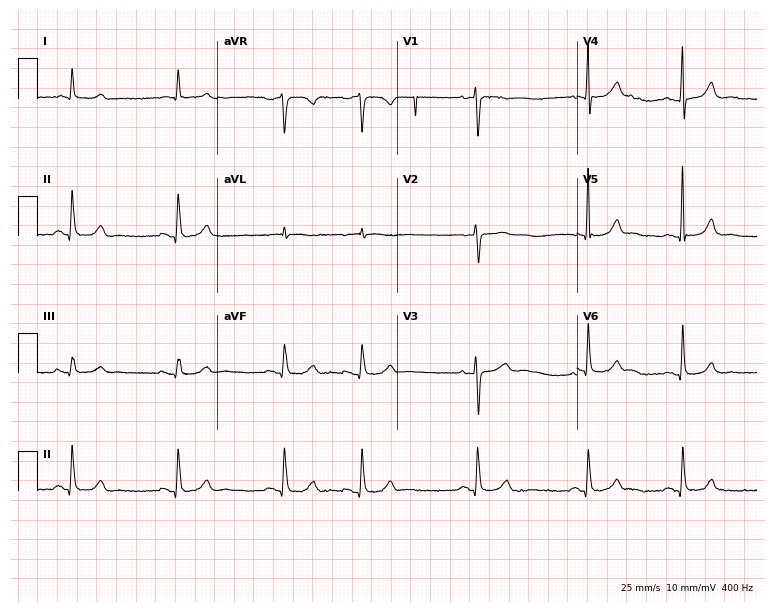
Standard 12-lead ECG recorded from an 84-year-old female patient. None of these six findings is recorded: first-degree AV block, right bundle branch block, left bundle branch block, sinus bradycardia, atrial fibrillation, sinus tachycardia.